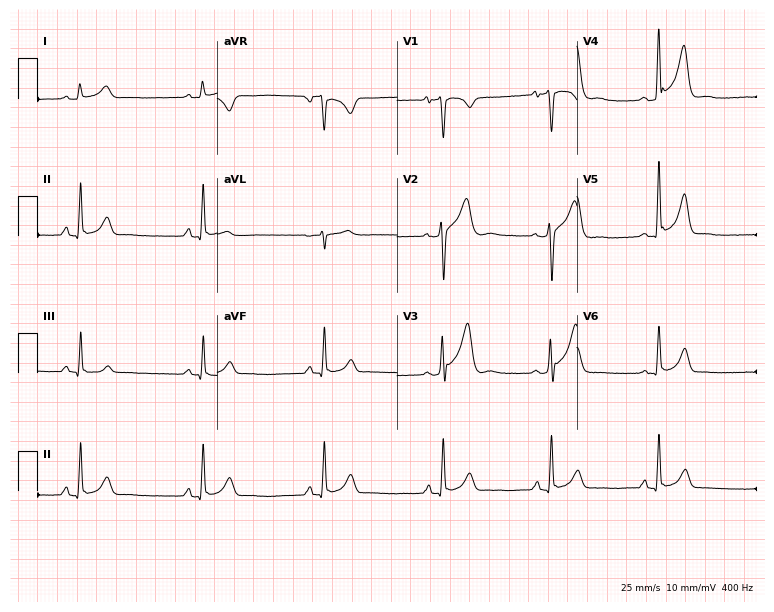
Resting 12-lead electrocardiogram (7.3-second recording at 400 Hz). Patient: a 36-year-old male. None of these six findings is recorded: first-degree AV block, right bundle branch block, left bundle branch block, sinus bradycardia, atrial fibrillation, sinus tachycardia. Other findings, if any, are not listed.